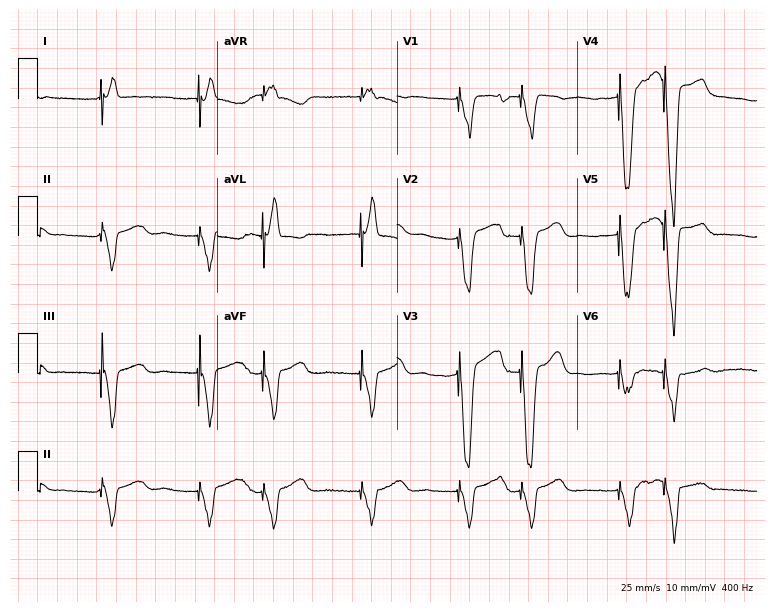
Resting 12-lead electrocardiogram. Patient: a 71-year-old female. None of these six findings is recorded: first-degree AV block, right bundle branch block, left bundle branch block, sinus bradycardia, atrial fibrillation, sinus tachycardia. Findings outside these six are not listed.